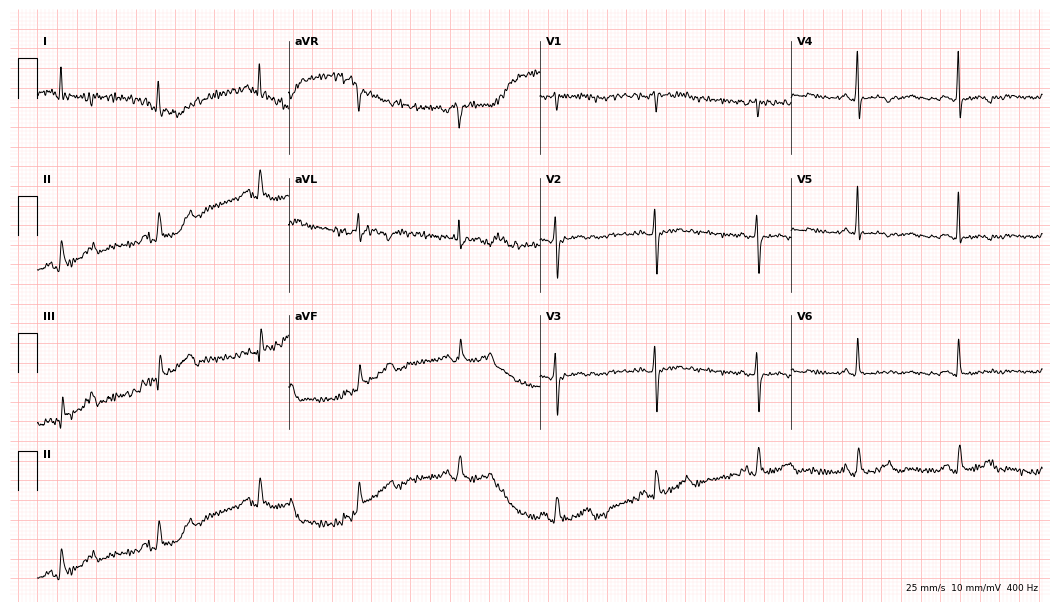
12-lead ECG from a 49-year-old female patient. Screened for six findings — first-degree AV block, right bundle branch block (RBBB), left bundle branch block (LBBB), sinus bradycardia, atrial fibrillation (AF), sinus tachycardia — none is recorded. Only these six findings were labelled.